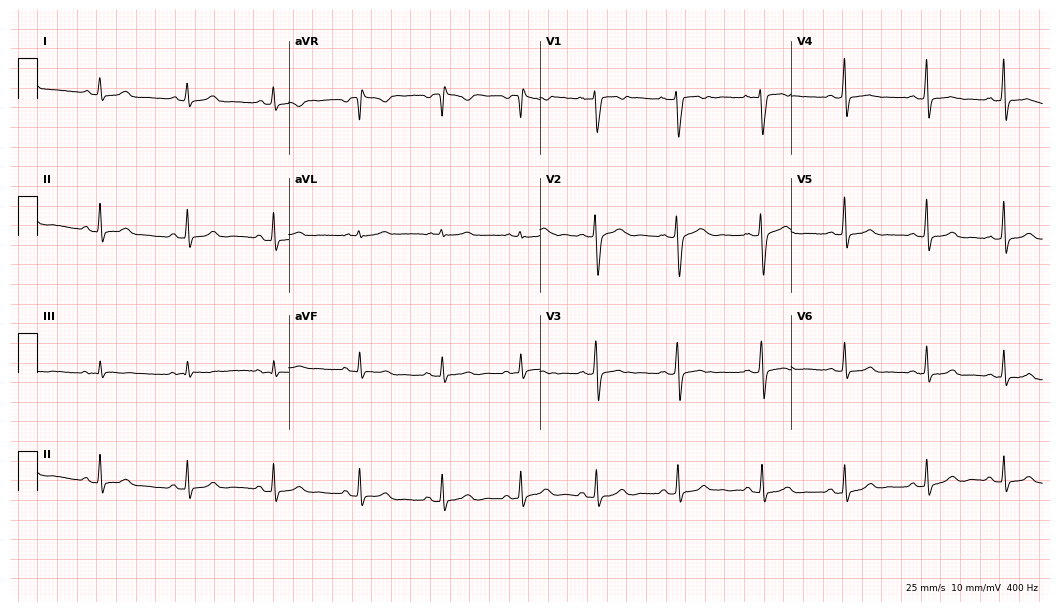
12-lead ECG (10.2-second recording at 400 Hz) from a 19-year-old female. Screened for six findings — first-degree AV block, right bundle branch block, left bundle branch block, sinus bradycardia, atrial fibrillation, sinus tachycardia — none is recorded.